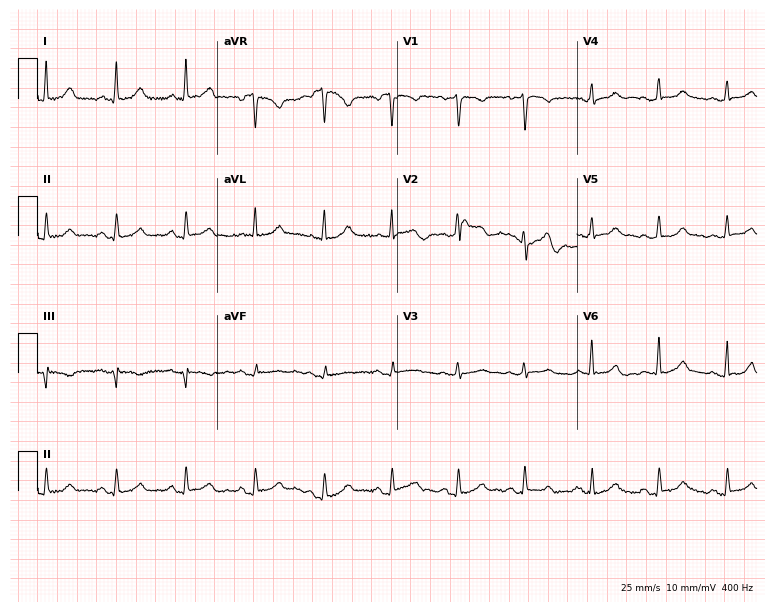
Electrocardiogram (7.3-second recording at 400 Hz), a 42-year-old female patient. Of the six screened findings (first-degree AV block, right bundle branch block, left bundle branch block, sinus bradycardia, atrial fibrillation, sinus tachycardia), none is recorded. Other findings, if any, are not listed.